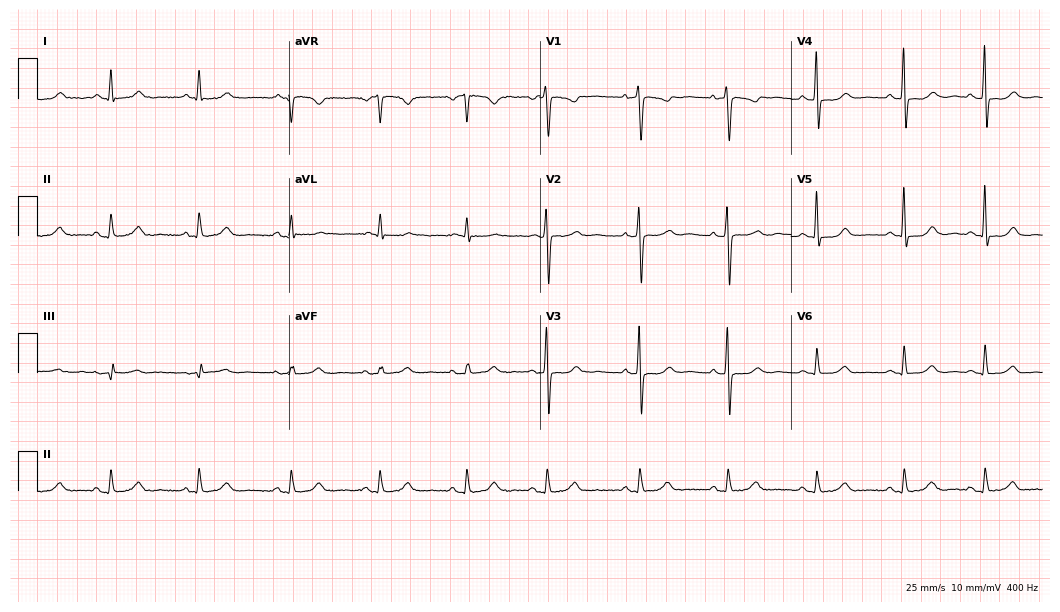
ECG — a 76-year-old woman. Screened for six findings — first-degree AV block, right bundle branch block, left bundle branch block, sinus bradycardia, atrial fibrillation, sinus tachycardia — none is recorded.